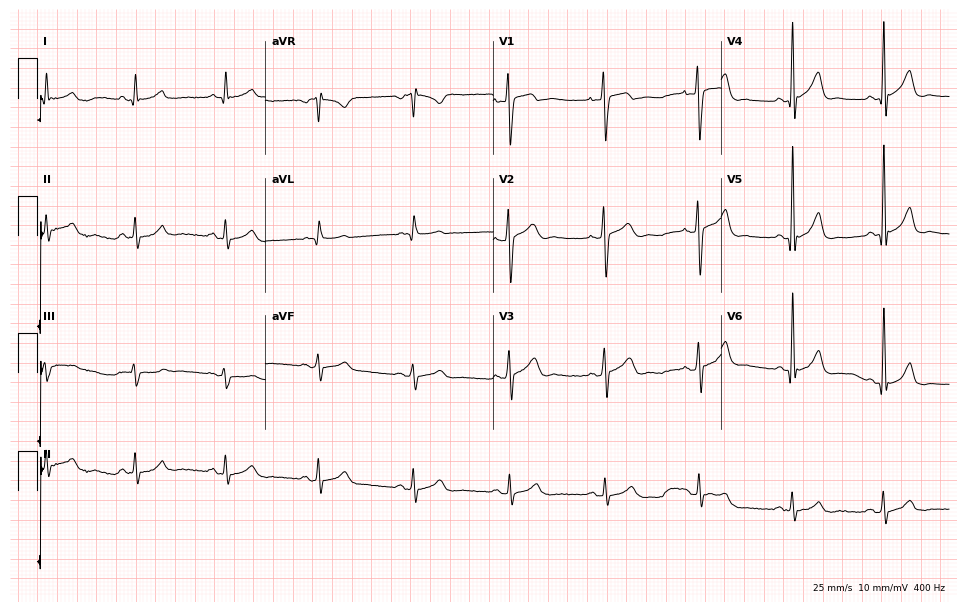
Standard 12-lead ECG recorded from a male patient, 50 years old. Read as a normal ECG.